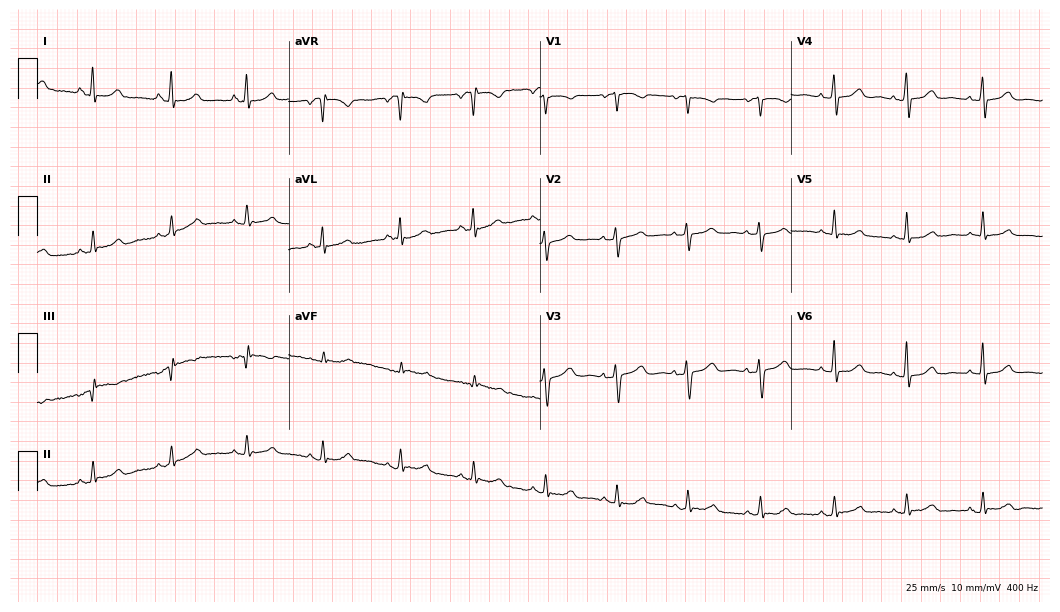
ECG (10.2-second recording at 400 Hz) — a female, 41 years old. Labelled as a normal ECG.